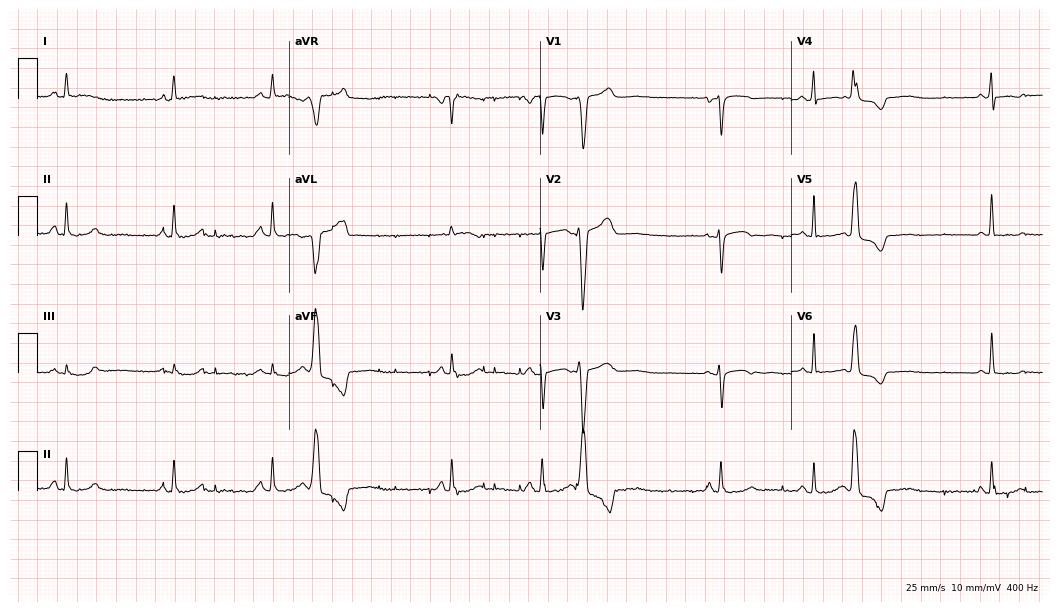
12-lead ECG from a woman, 42 years old. Screened for six findings — first-degree AV block, right bundle branch block (RBBB), left bundle branch block (LBBB), sinus bradycardia, atrial fibrillation (AF), sinus tachycardia — none is recorded. Other findings, if any, are not listed.